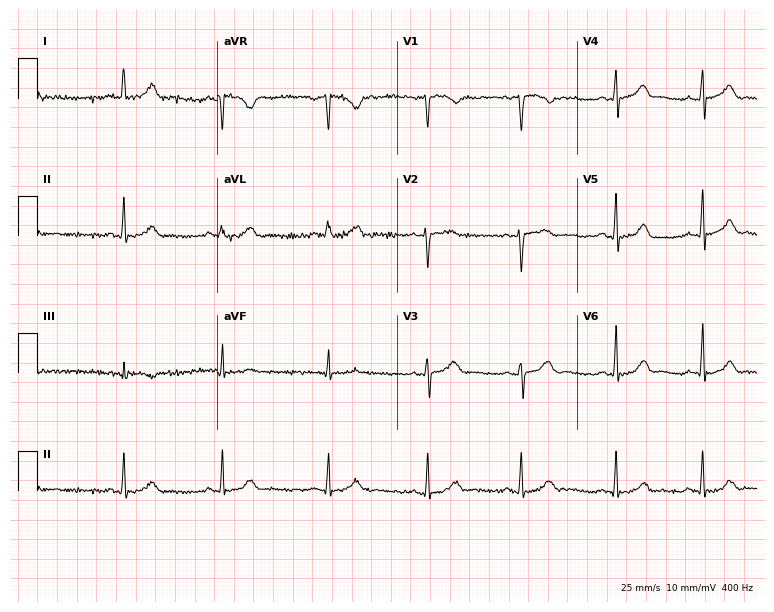
Standard 12-lead ECG recorded from a 30-year-old woman (7.3-second recording at 400 Hz). Read as a normal ECG.